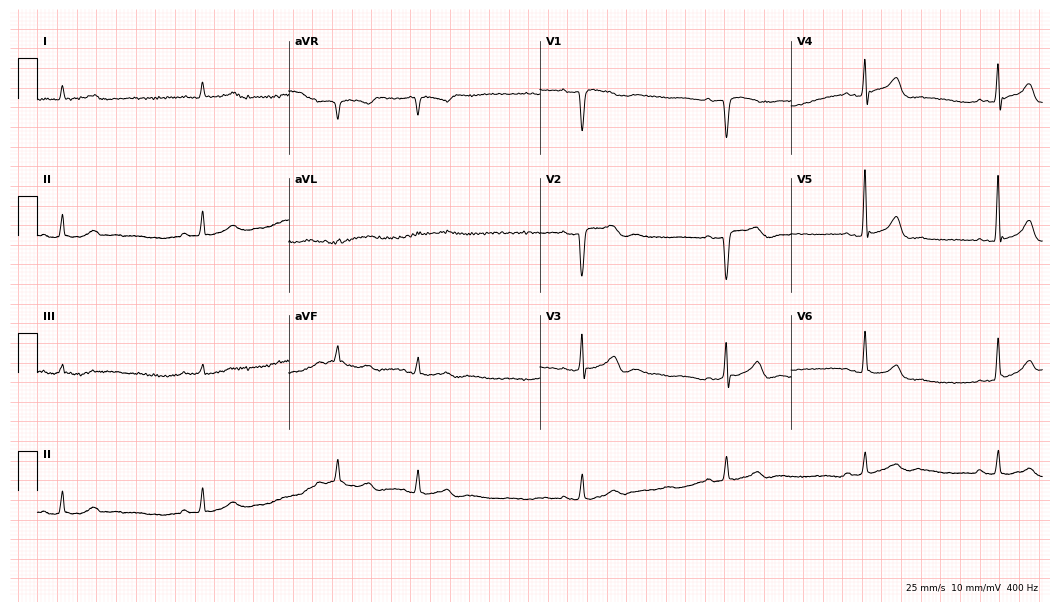
Standard 12-lead ECG recorded from a male patient, 58 years old. The tracing shows sinus bradycardia (a sinus rate of 50 beats per minute or less).